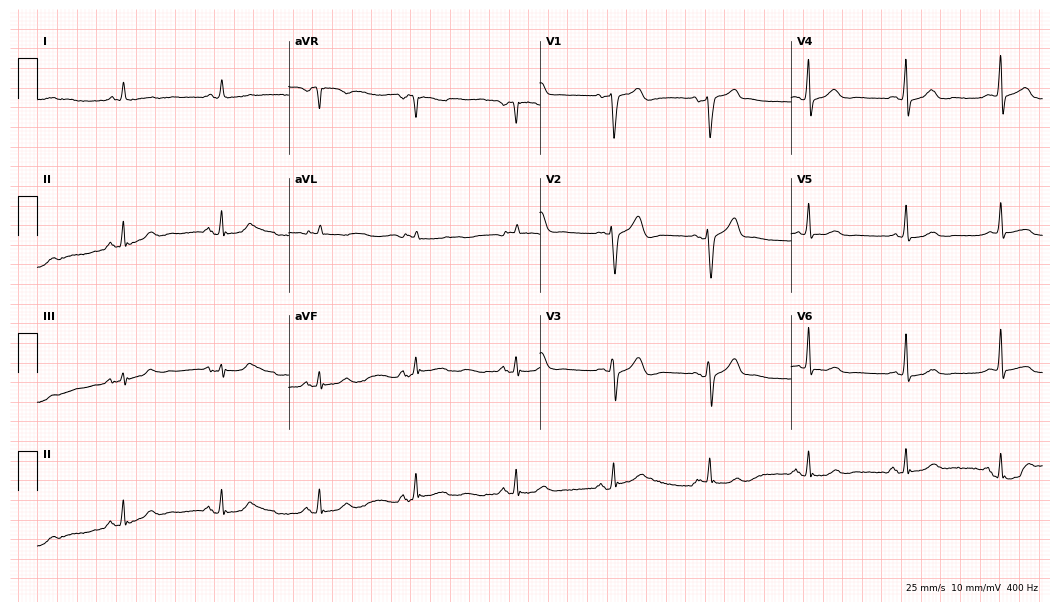
12-lead ECG from a male, 71 years old. Recorded interpretation: within normal limits.